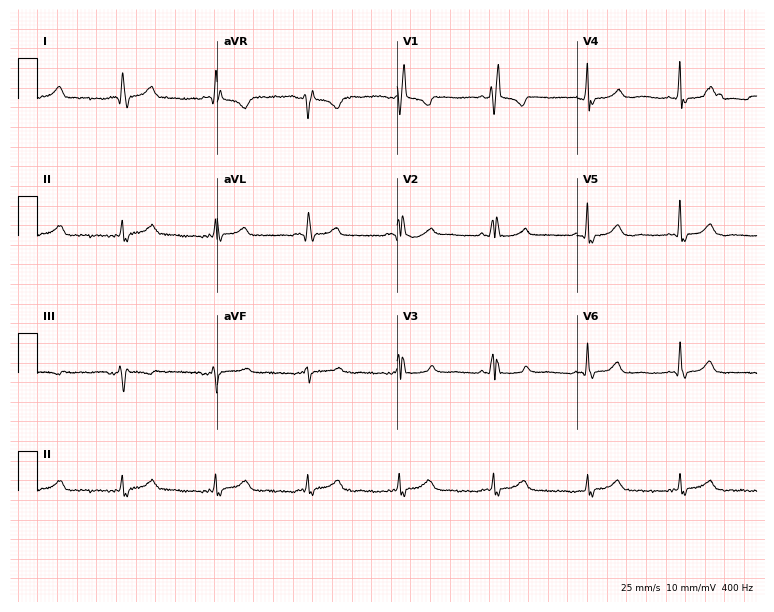
12-lead ECG from a 62-year-old female. Findings include right bundle branch block (RBBB).